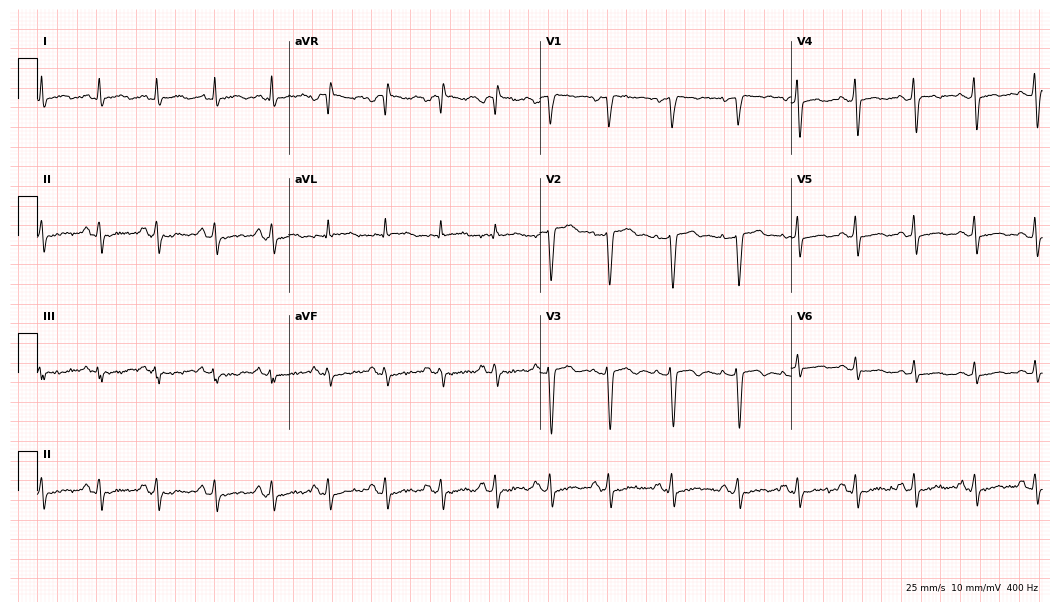
Electrocardiogram, a female patient, 33 years old. Interpretation includes sinus tachycardia (a sinus rate of 100 beats per minute or more).